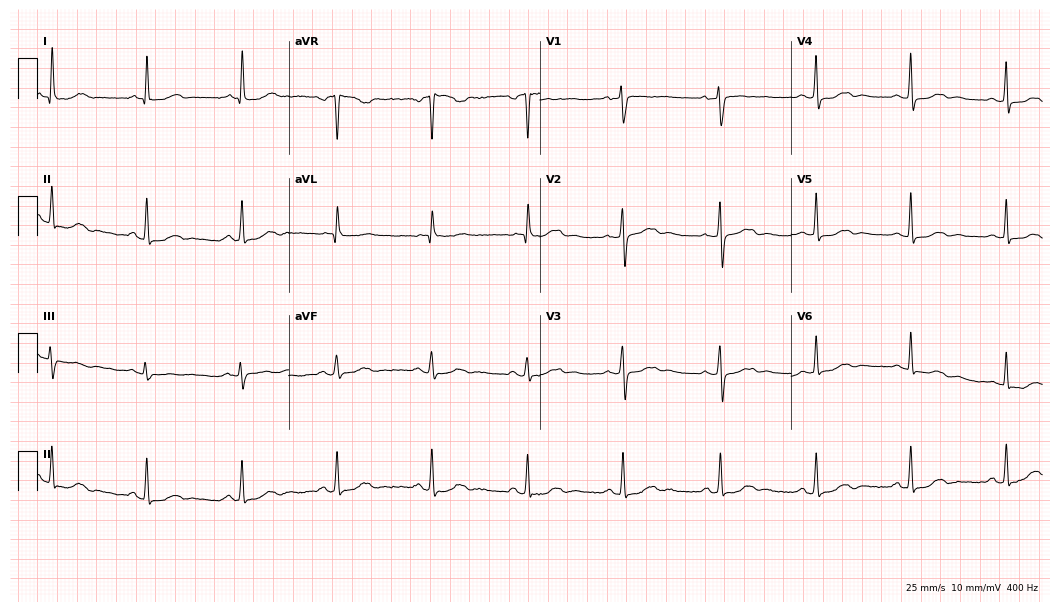
12-lead ECG (10.2-second recording at 400 Hz) from a 71-year-old female patient. Labelled as a normal ECG.